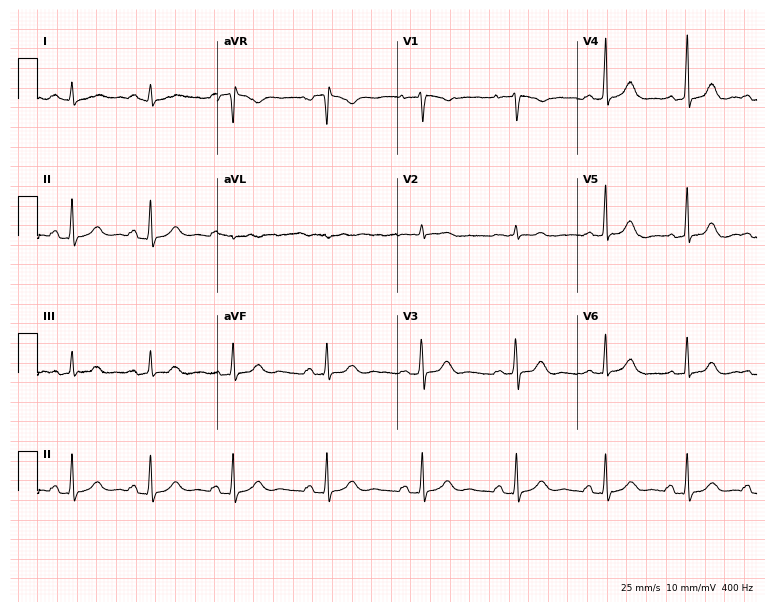
Electrocardiogram, a female, 31 years old. Of the six screened findings (first-degree AV block, right bundle branch block (RBBB), left bundle branch block (LBBB), sinus bradycardia, atrial fibrillation (AF), sinus tachycardia), none is recorded. Findings outside these six are not listed.